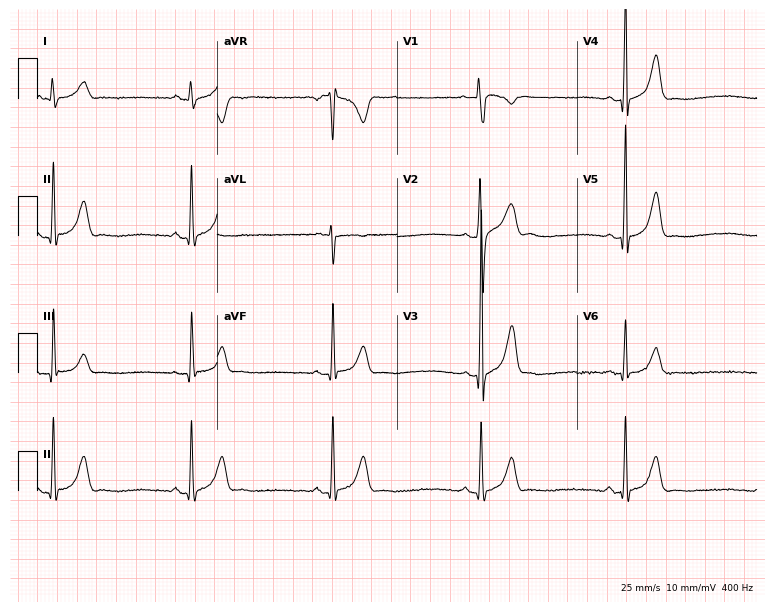
12-lead ECG (7.3-second recording at 400 Hz) from a male, 17 years old. Screened for six findings — first-degree AV block, right bundle branch block, left bundle branch block, sinus bradycardia, atrial fibrillation, sinus tachycardia — none is recorded. Only these six findings were labelled.